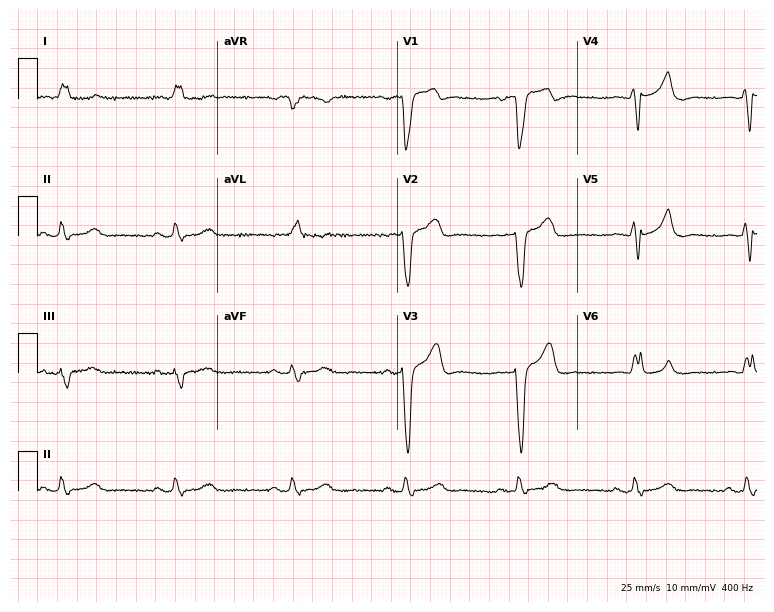
12-lead ECG from a 70-year-old man (7.3-second recording at 400 Hz). Shows left bundle branch block (LBBB).